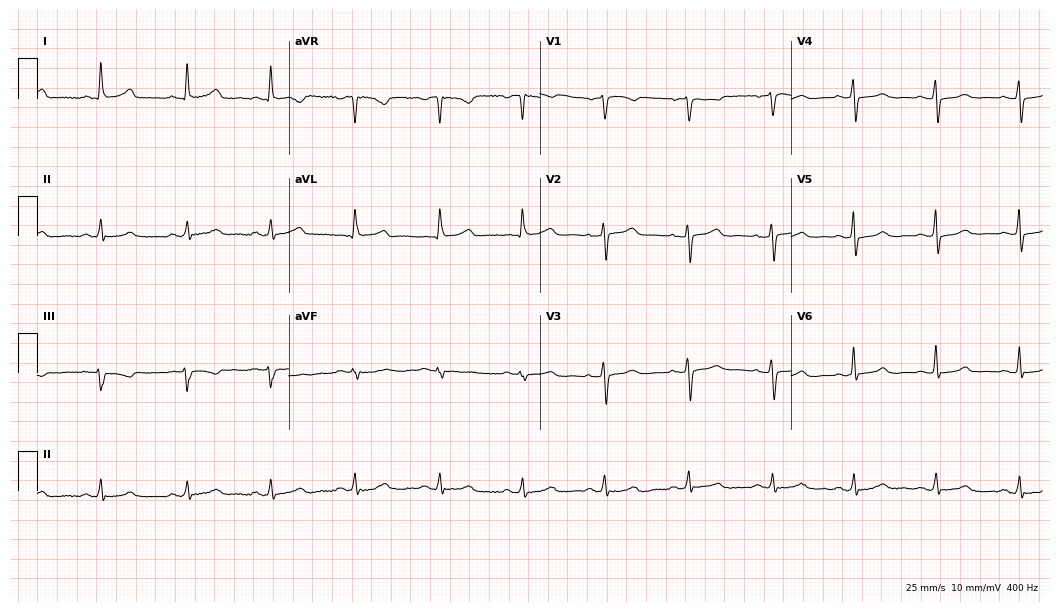
ECG — a woman, 57 years old. Screened for six findings — first-degree AV block, right bundle branch block, left bundle branch block, sinus bradycardia, atrial fibrillation, sinus tachycardia — none is recorded. Findings outside these six are not listed.